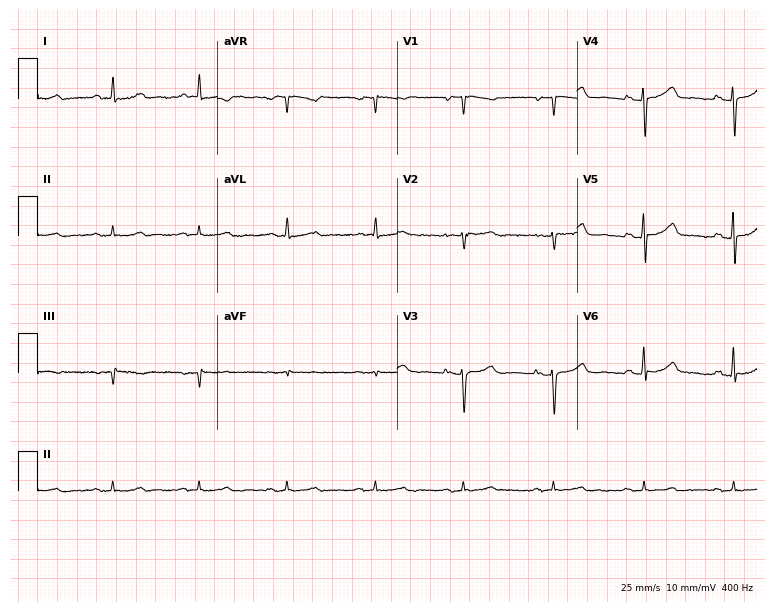
Standard 12-lead ECG recorded from a 46-year-old female (7.3-second recording at 400 Hz). None of these six findings is recorded: first-degree AV block, right bundle branch block, left bundle branch block, sinus bradycardia, atrial fibrillation, sinus tachycardia.